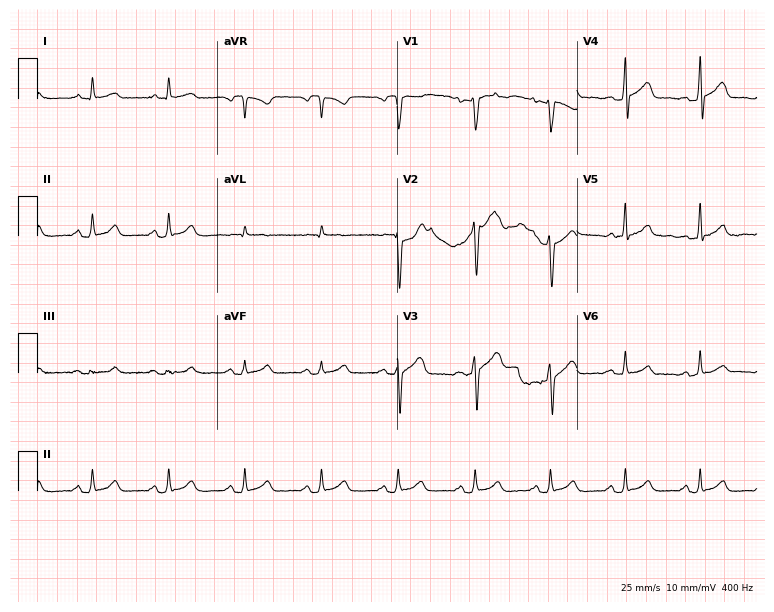
Resting 12-lead electrocardiogram. Patient: a 46-year-old man. None of these six findings is recorded: first-degree AV block, right bundle branch block, left bundle branch block, sinus bradycardia, atrial fibrillation, sinus tachycardia. Other findings, if any, are not listed.